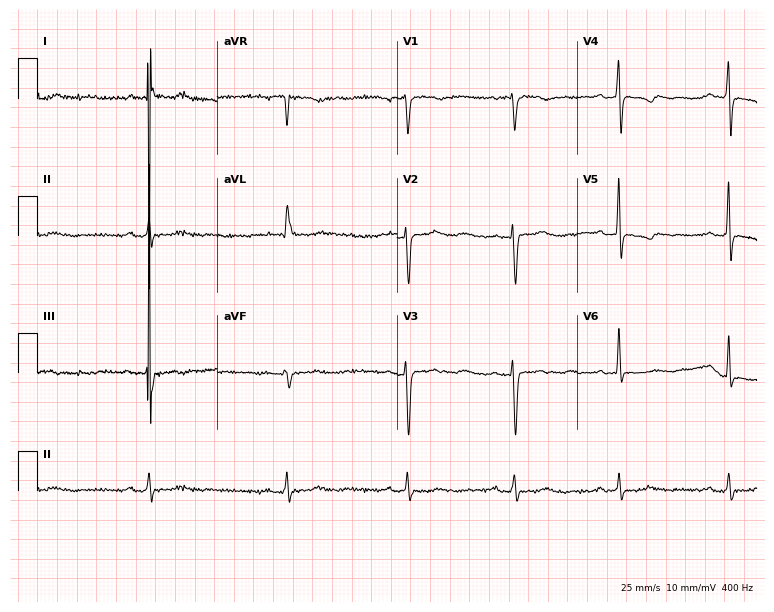
12-lead ECG from a 62-year-old woman. No first-degree AV block, right bundle branch block (RBBB), left bundle branch block (LBBB), sinus bradycardia, atrial fibrillation (AF) or sinus tachycardia recorded for this tracing. Only these six findings were labelled.